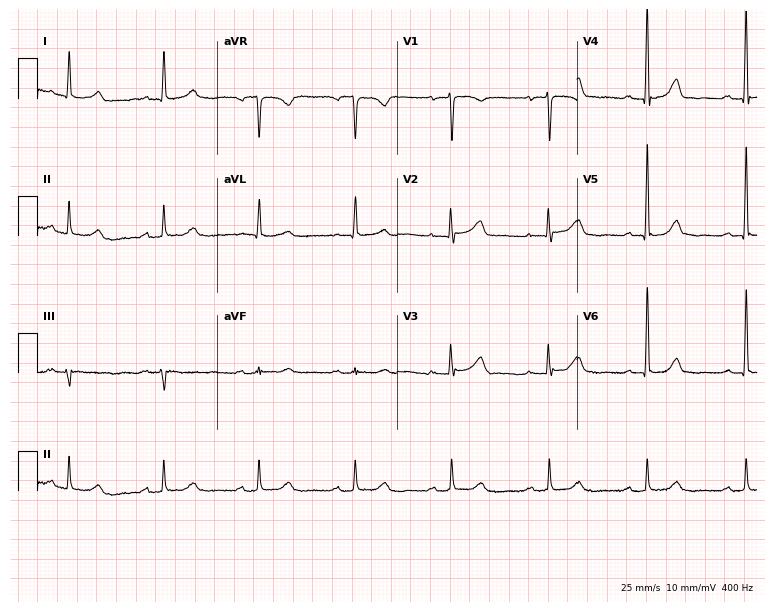
ECG — a 78-year-old woman. Screened for six findings — first-degree AV block, right bundle branch block, left bundle branch block, sinus bradycardia, atrial fibrillation, sinus tachycardia — none is recorded. Other findings, if any, are not listed.